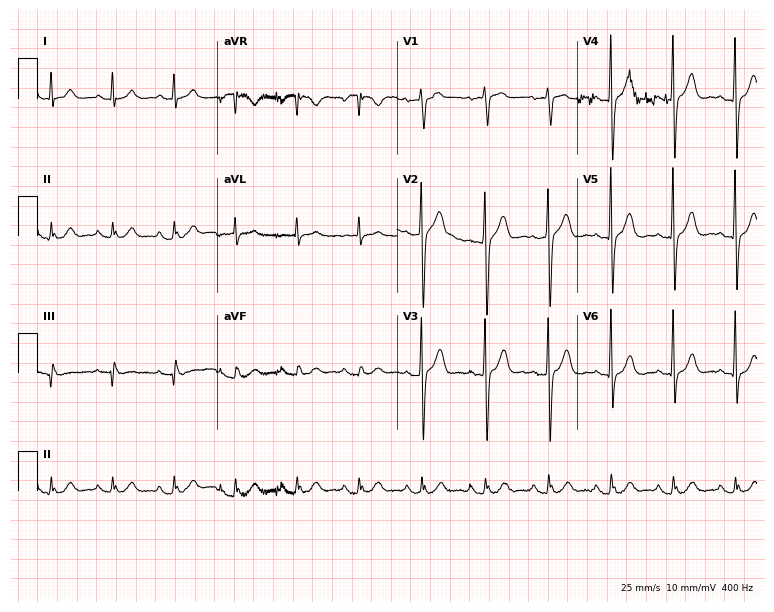
Electrocardiogram, a male patient, 62 years old. Of the six screened findings (first-degree AV block, right bundle branch block, left bundle branch block, sinus bradycardia, atrial fibrillation, sinus tachycardia), none is recorded.